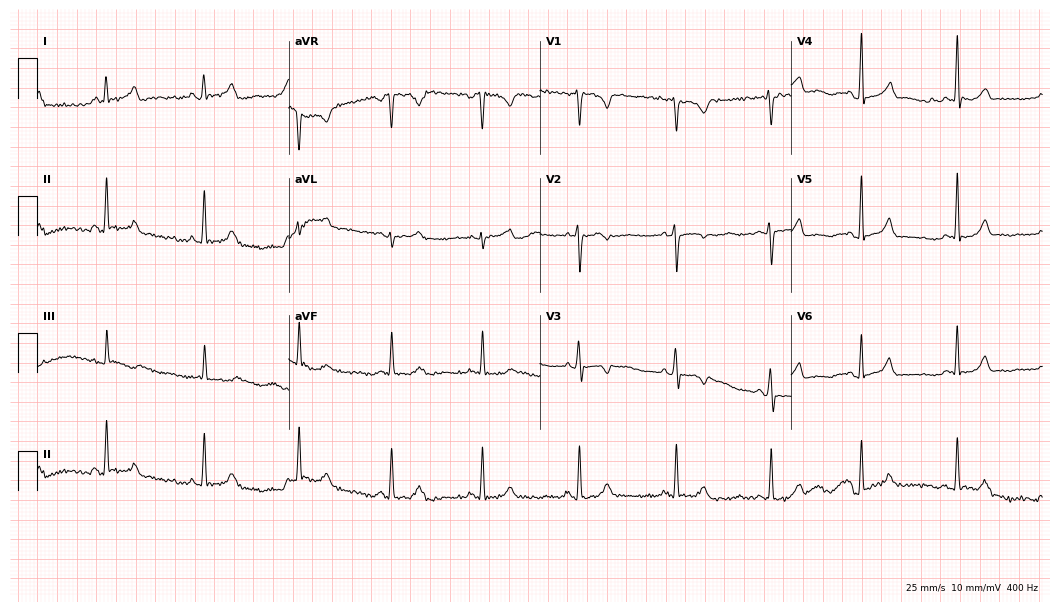
Standard 12-lead ECG recorded from a 29-year-old female. Read as a normal ECG.